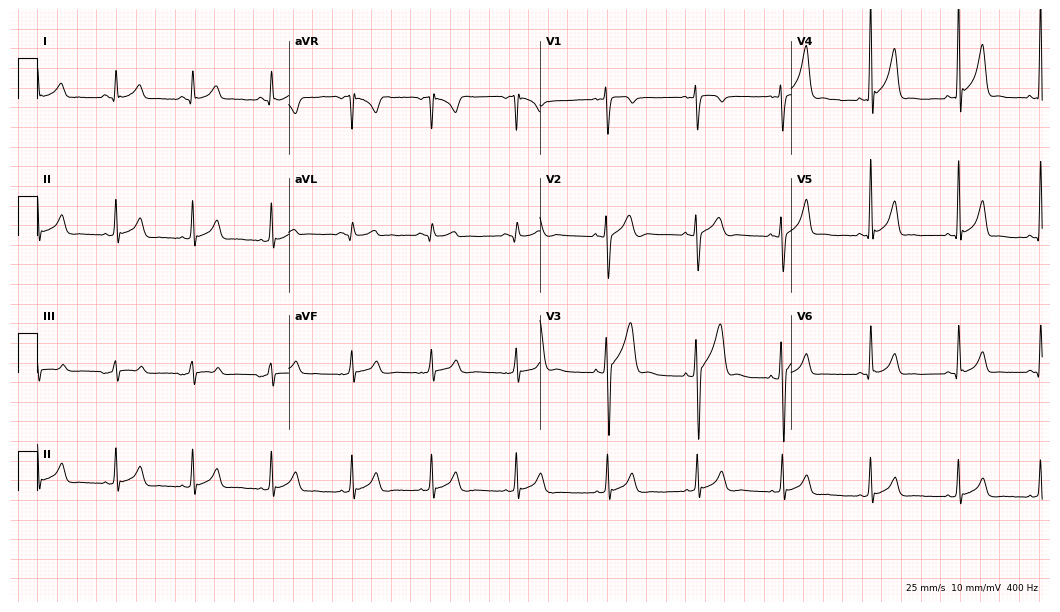
Resting 12-lead electrocardiogram. Patient: a 25-year-old man. None of these six findings is recorded: first-degree AV block, right bundle branch block, left bundle branch block, sinus bradycardia, atrial fibrillation, sinus tachycardia. Findings outside these six are not listed.